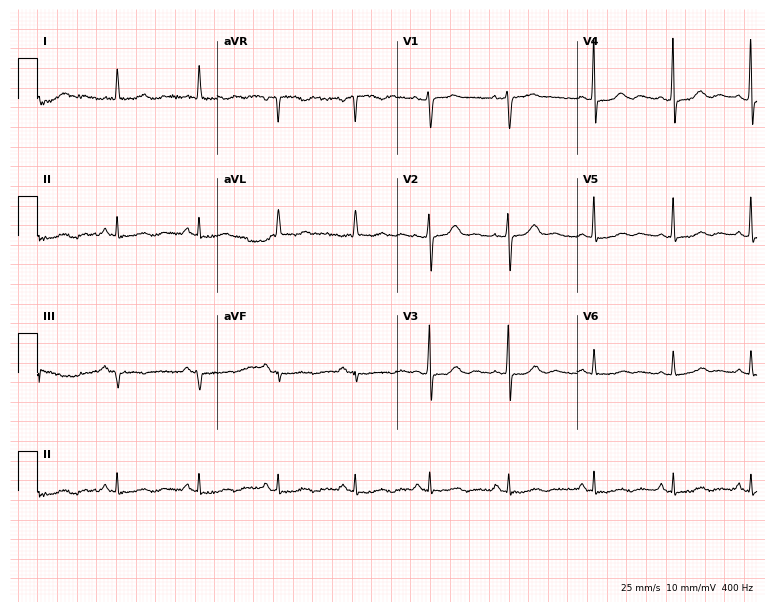
Electrocardiogram (7.3-second recording at 400 Hz), a 67-year-old female. Of the six screened findings (first-degree AV block, right bundle branch block (RBBB), left bundle branch block (LBBB), sinus bradycardia, atrial fibrillation (AF), sinus tachycardia), none is recorded.